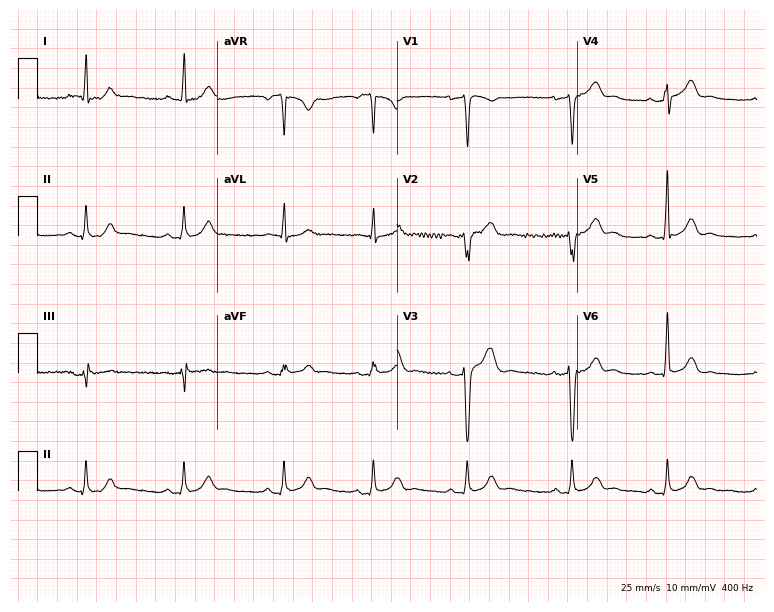
Standard 12-lead ECG recorded from a man, 36 years old. Read as a normal ECG.